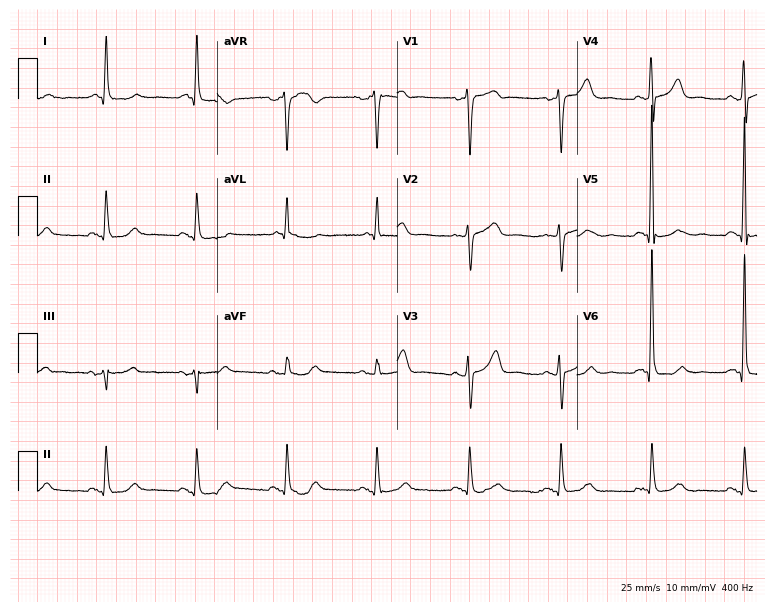
12-lead ECG from a 65-year-old male patient. Labelled as a normal ECG.